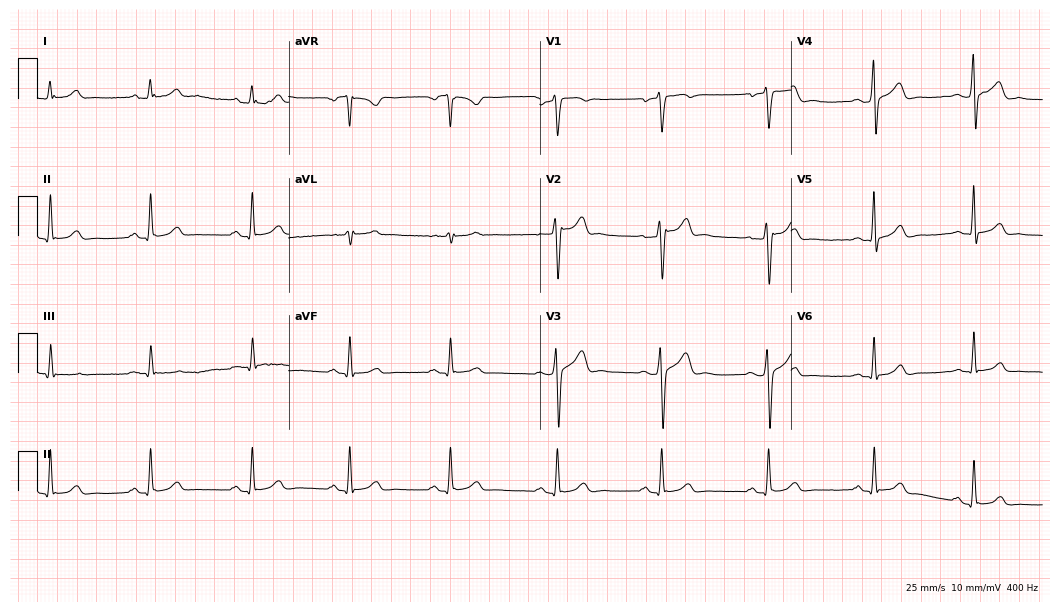
Standard 12-lead ECG recorded from a 33-year-old man (10.2-second recording at 400 Hz). Read as a normal ECG.